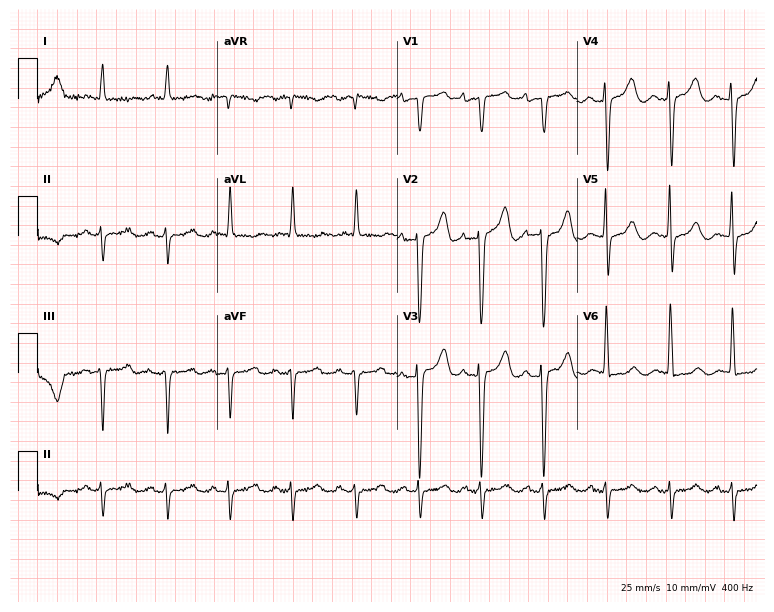
ECG (7.3-second recording at 400 Hz) — a man, 74 years old. Screened for six findings — first-degree AV block, right bundle branch block, left bundle branch block, sinus bradycardia, atrial fibrillation, sinus tachycardia — none is recorded. Other findings, if any, are not listed.